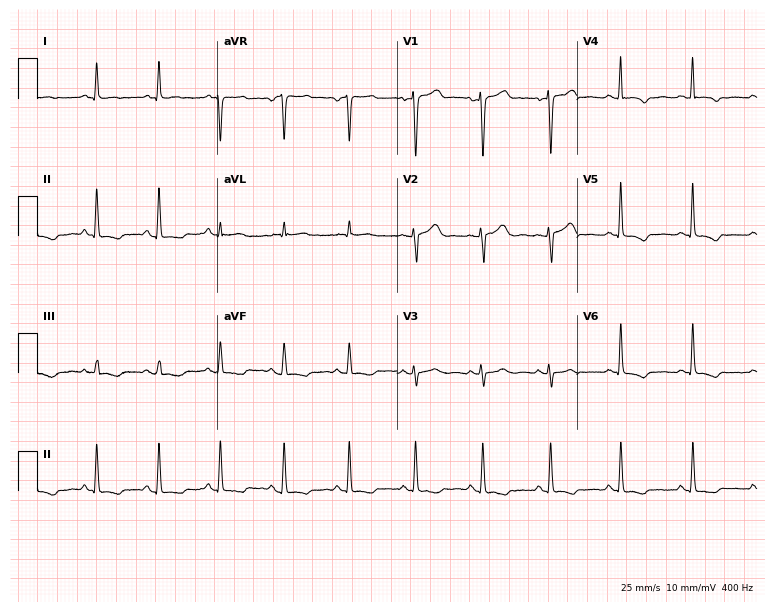
Standard 12-lead ECG recorded from a woman, 81 years old. None of these six findings is recorded: first-degree AV block, right bundle branch block (RBBB), left bundle branch block (LBBB), sinus bradycardia, atrial fibrillation (AF), sinus tachycardia. Findings outside these six are not listed.